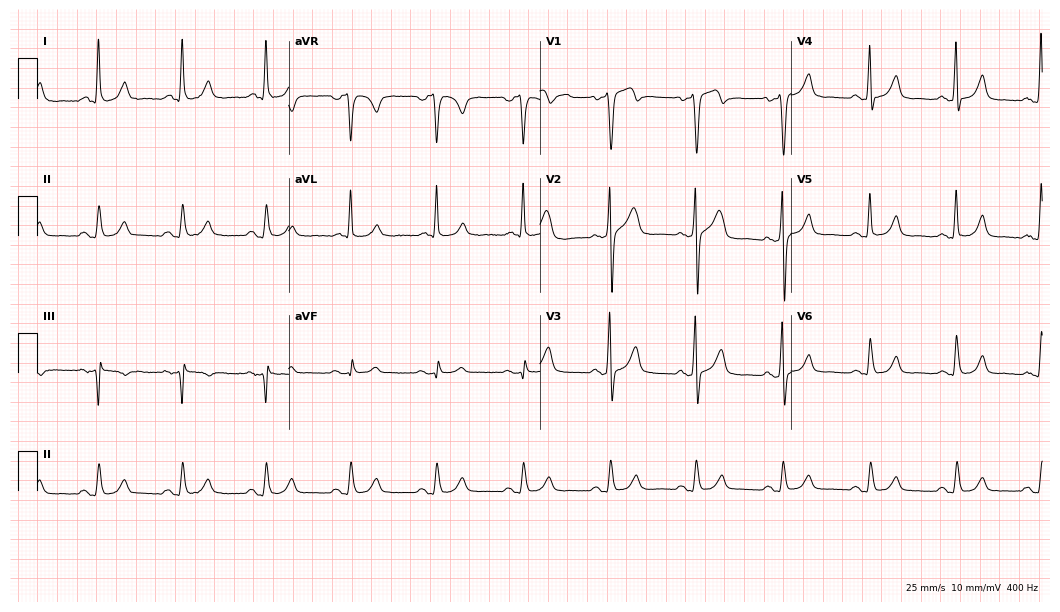
Electrocardiogram (10.2-second recording at 400 Hz), a male, 56 years old. Overall reading on record: normal ECG.